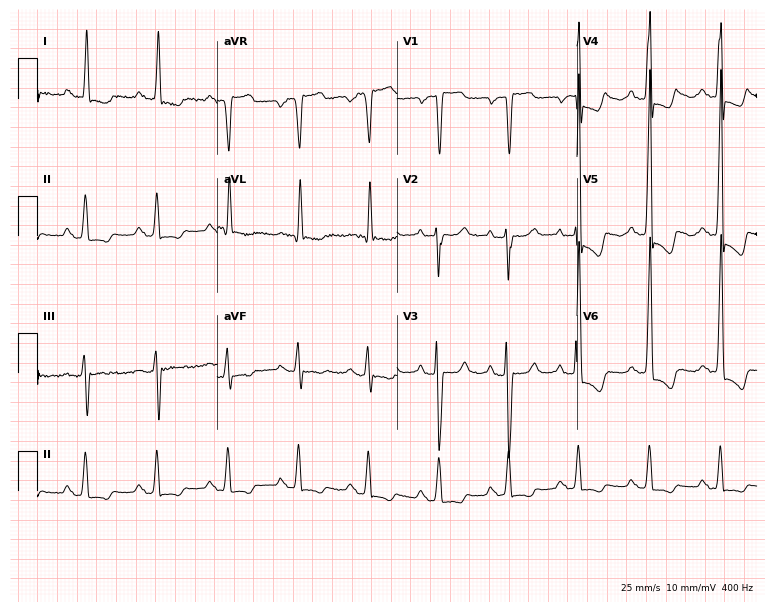
Electrocardiogram (7.3-second recording at 400 Hz), a 53-year-old woman. Of the six screened findings (first-degree AV block, right bundle branch block, left bundle branch block, sinus bradycardia, atrial fibrillation, sinus tachycardia), none is recorded. Other findings, if any, are not listed.